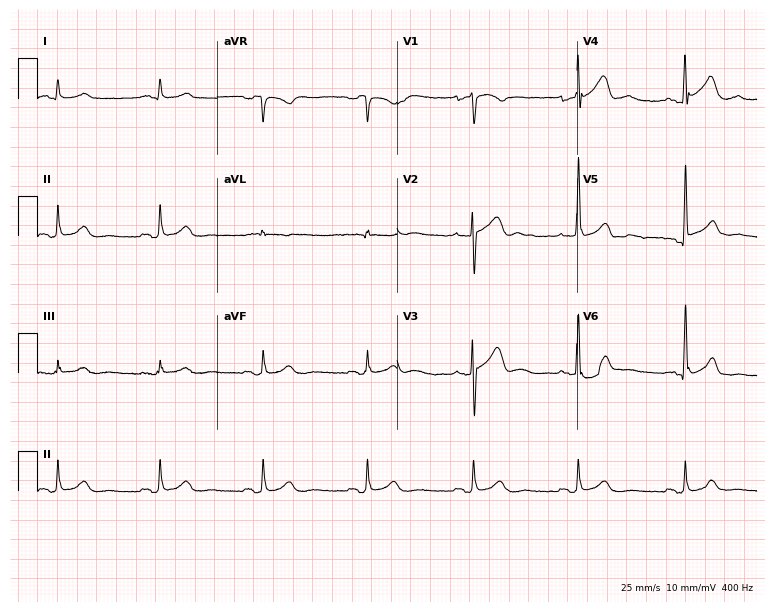
12-lead ECG from a man, 66 years old (7.3-second recording at 400 Hz). Recorded interpretation: within normal limits.